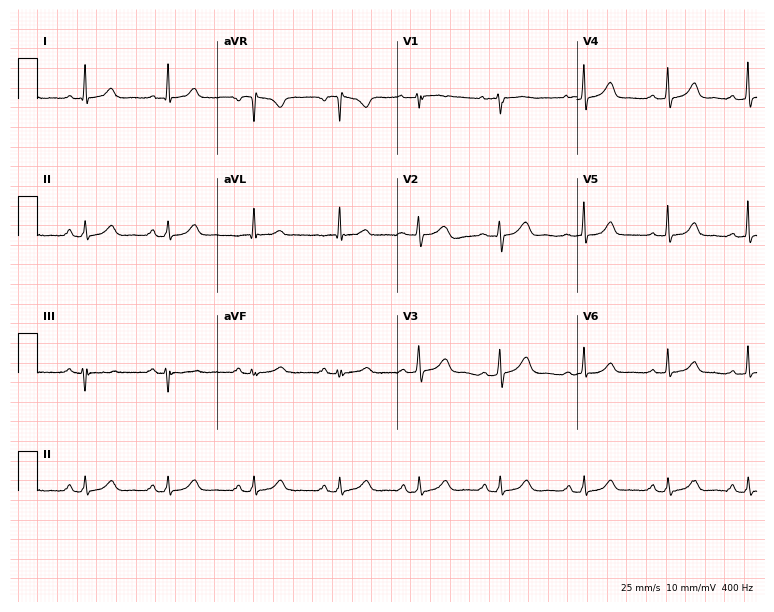
Resting 12-lead electrocardiogram (7.3-second recording at 400 Hz). Patient: a 64-year-old female. Read as a normal ECG.